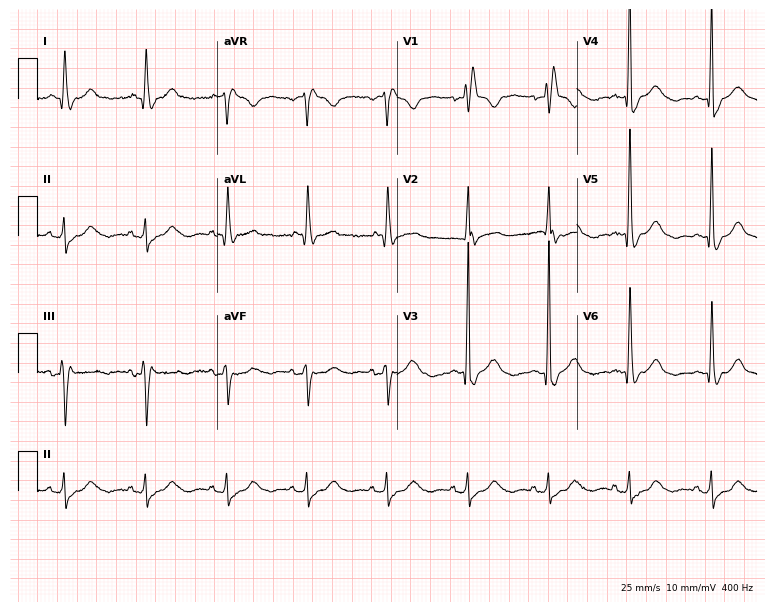
Standard 12-lead ECG recorded from a male patient, 85 years old. The tracing shows right bundle branch block (RBBB).